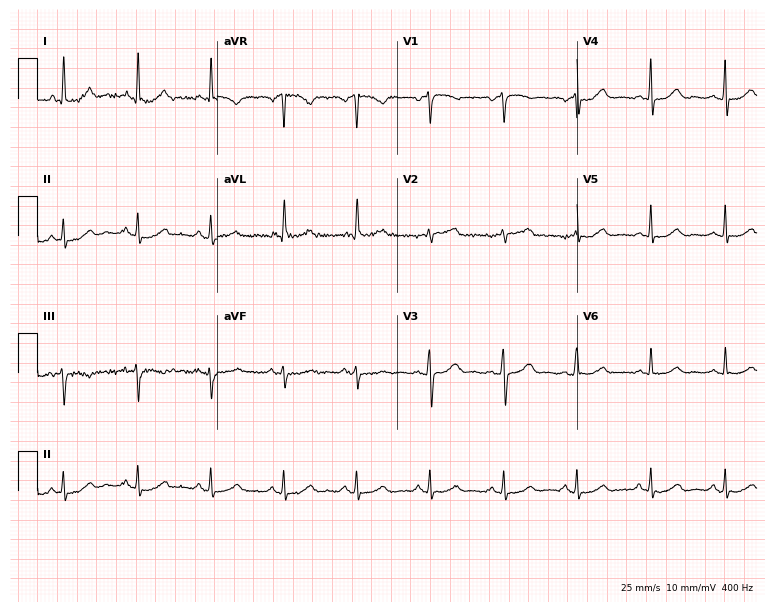
Standard 12-lead ECG recorded from a female patient, 63 years old (7.3-second recording at 400 Hz). Read as a normal ECG.